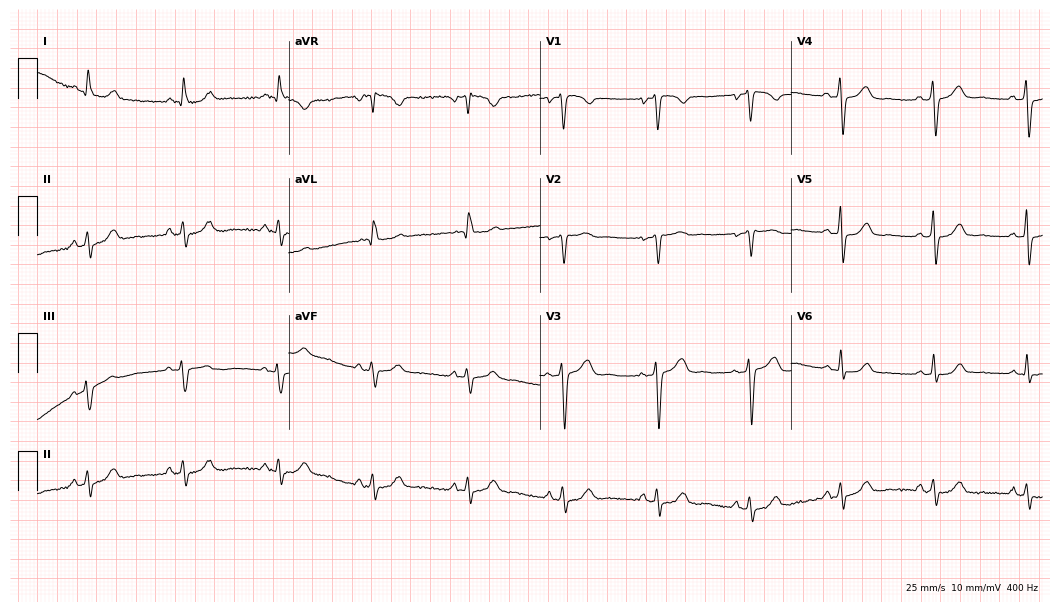
Standard 12-lead ECG recorded from a 43-year-old female patient (10.2-second recording at 400 Hz). Read as a normal ECG.